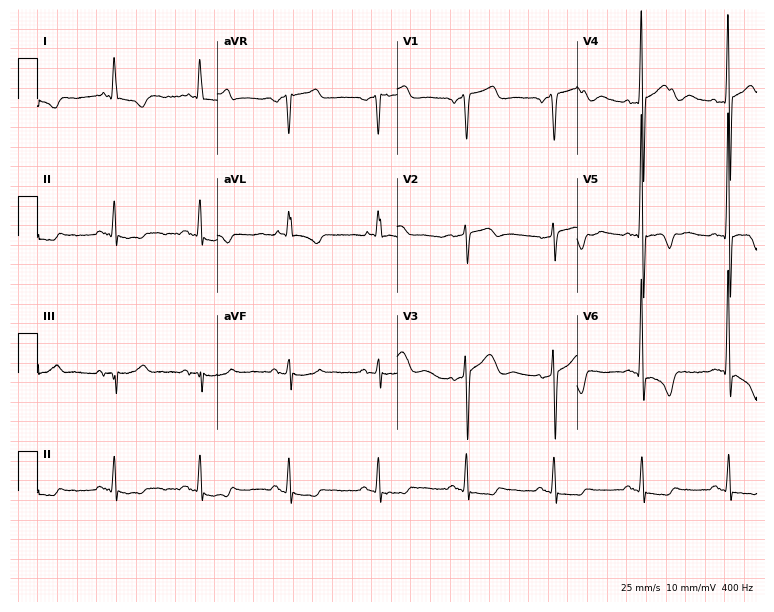
12-lead ECG from a male, 60 years old. Screened for six findings — first-degree AV block, right bundle branch block, left bundle branch block, sinus bradycardia, atrial fibrillation, sinus tachycardia — none is recorded. Only these six findings were labelled.